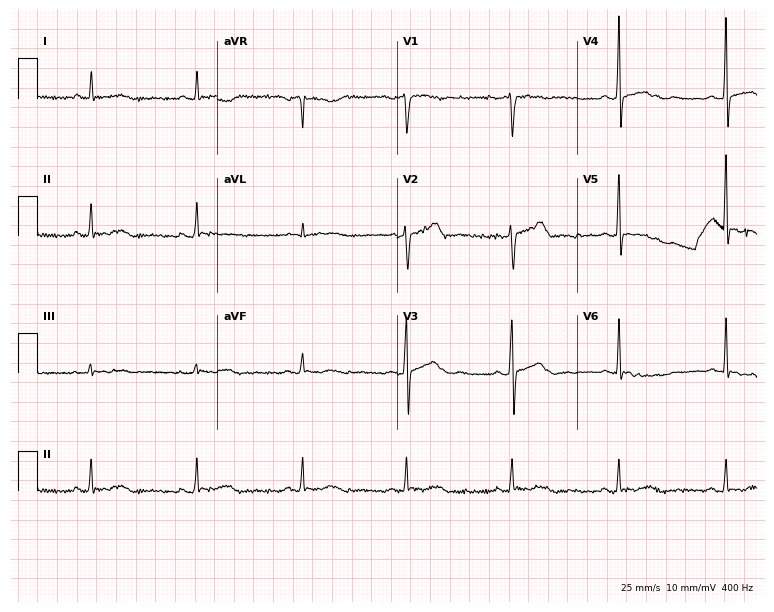
Electrocardiogram (7.3-second recording at 400 Hz), a 52-year-old male patient. Of the six screened findings (first-degree AV block, right bundle branch block (RBBB), left bundle branch block (LBBB), sinus bradycardia, atrial fibrillation (AF), sinus tachycardia), none is recorded.